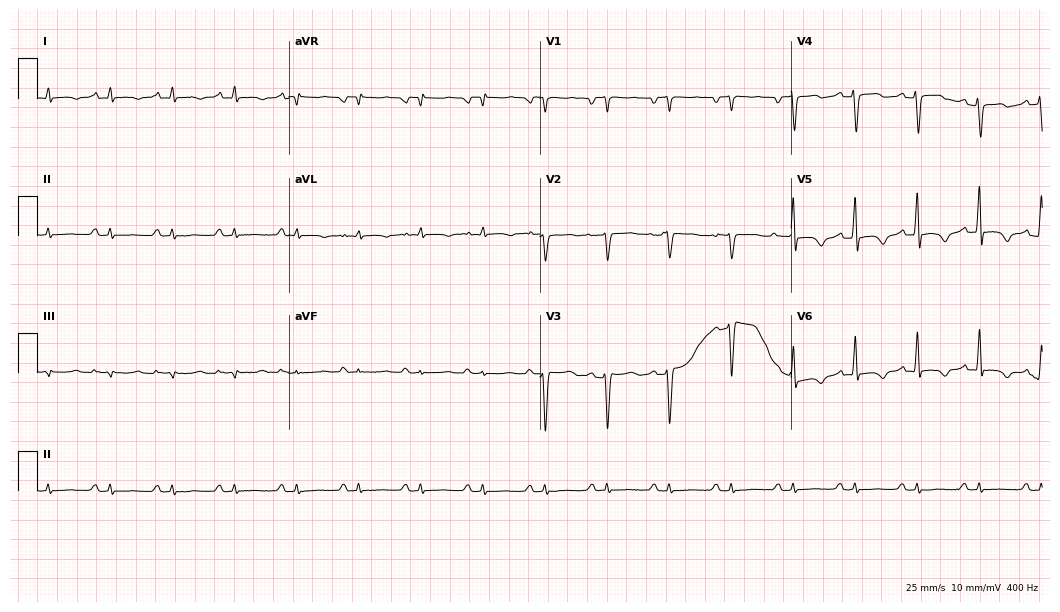
12-lead ECG from a 61-year-old male patient. Screened for six findings — first-degree AV block, right bundle branch block, left bundle branch block, sinus bradycardia, atrial fibrillation, sinus tachycardia — none is recorded. Other findings, if any, are not listed.